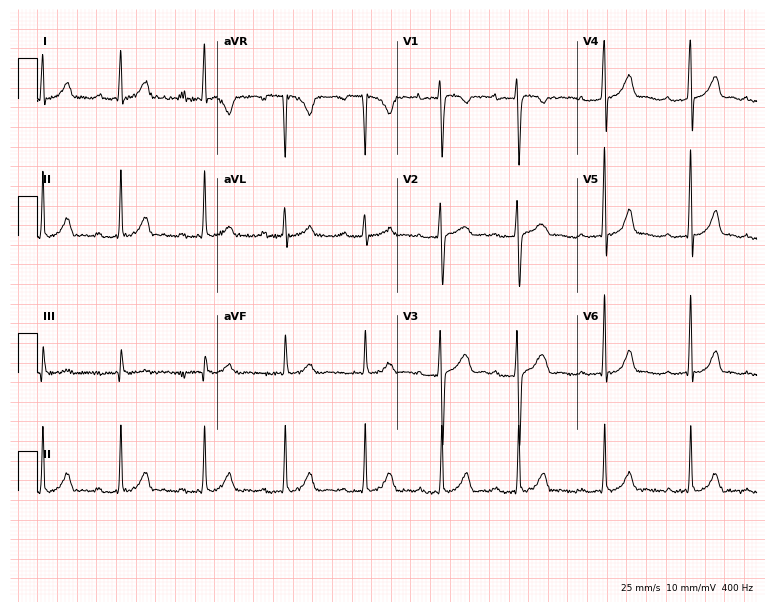
12-lead ECG from a female, 21 years old. Shows first-degree AV block.